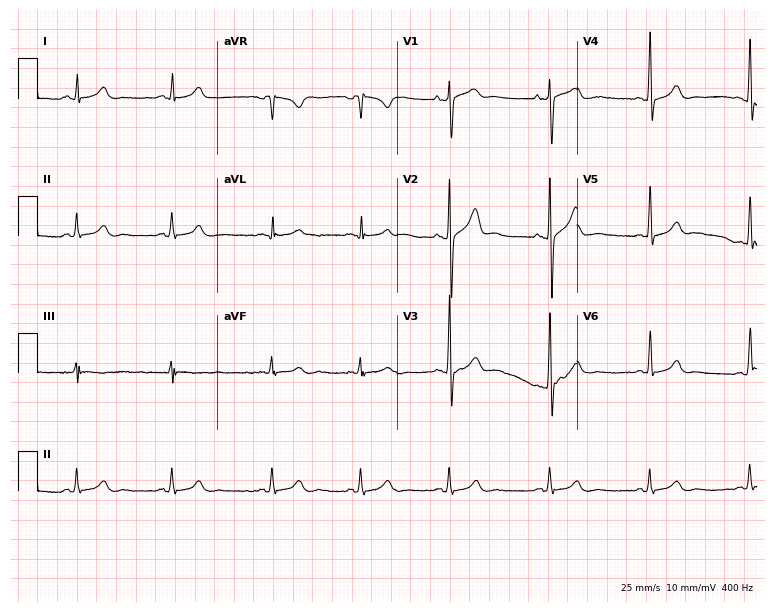
Resting 12-lead electrocardiogram (7.3-second recording at 400 Hz). Patient: a male, 31 years old. Read as a normal ECG.